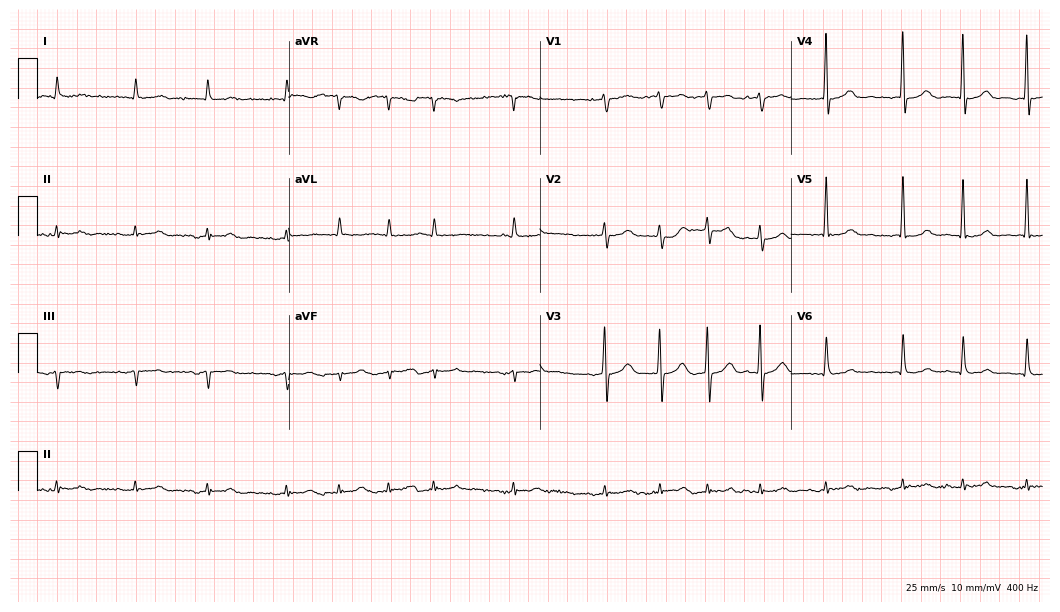
12-lead ECG from a male, 80 years old (10.2-second recording at 400 Hz). Shows atrial fibrillation.